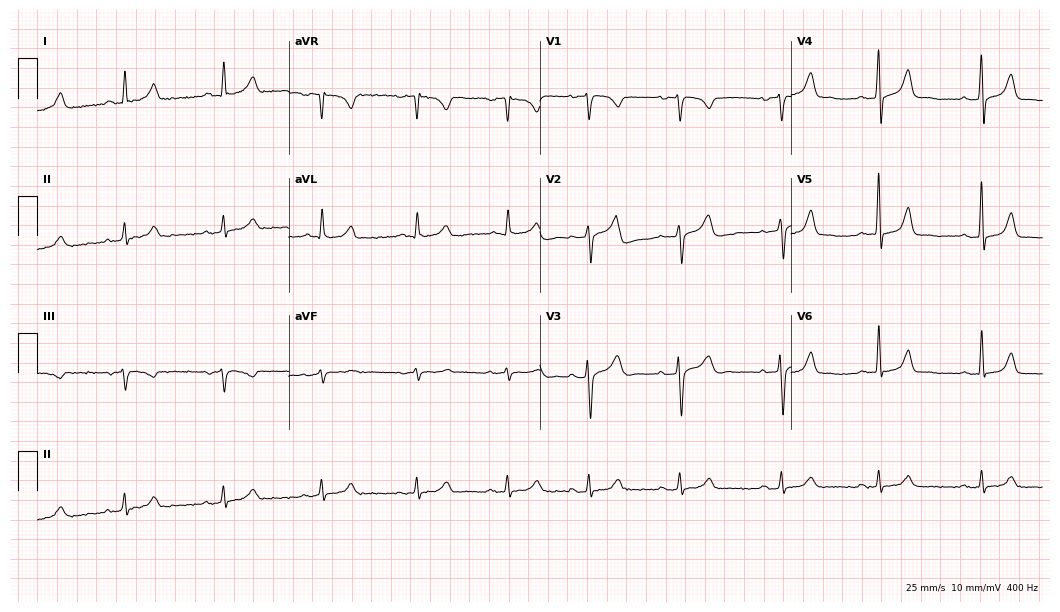
Electrocardiogram, a man, 53 years old. Overall reading on record: normal ECG.